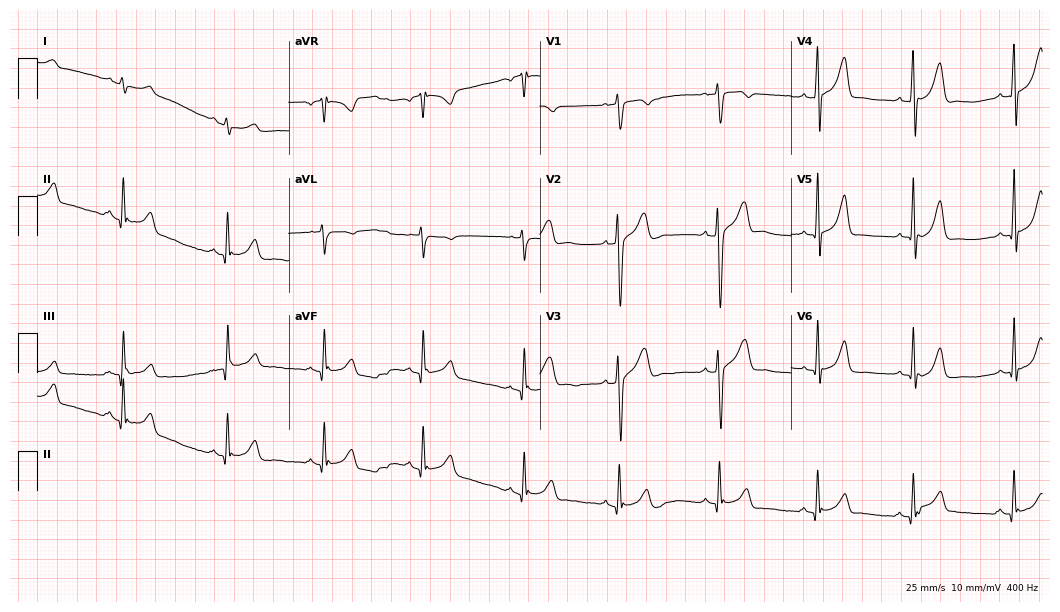
12-lead ECG from a 19-year-old male patient (10.2-second recording at 400 Hz). Recorded interpretation: within normal limits.